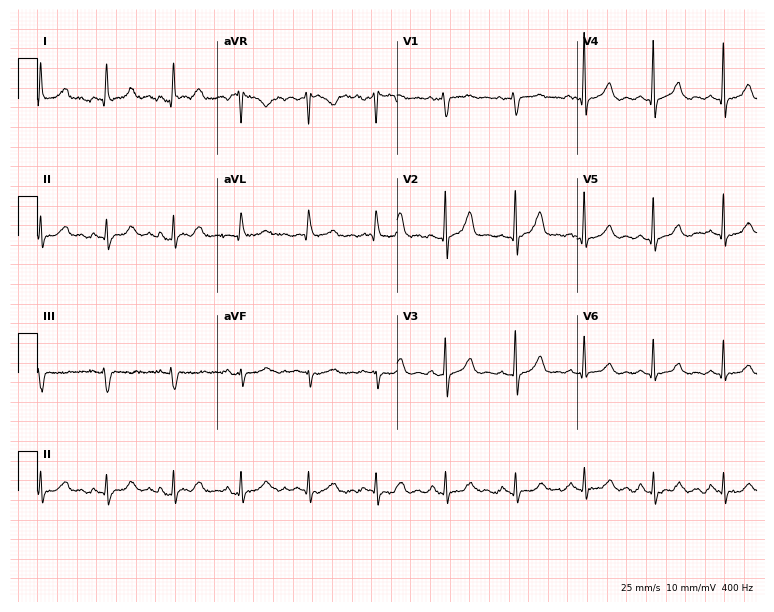
Electrocardiogram (7.3-second recording at 400 Hz), a female patient, 67 years old. Overall reading on record: normal ECG.